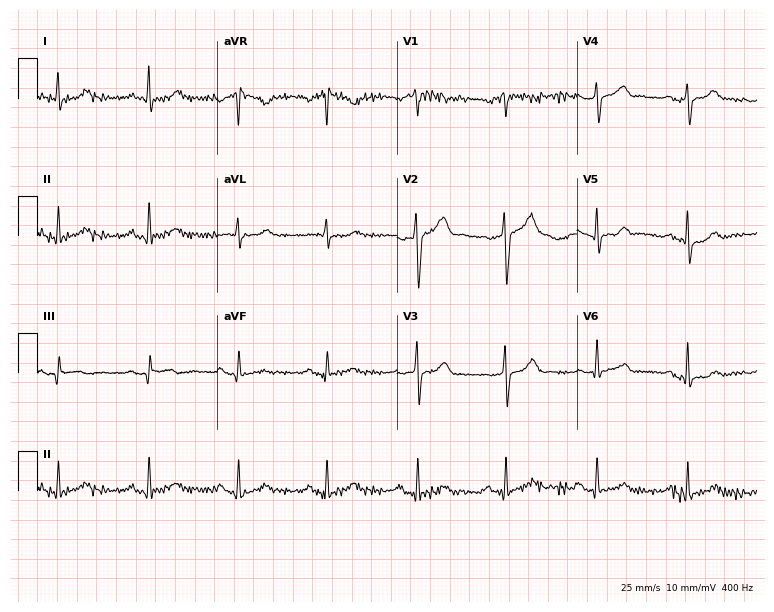
Standard 12-lead ECG recorded from an 85-year-old female. None of these six findings is recorded: first-degree AV block, right bundle branch block, left bundle branch block, sinus bradycardia, atrial fibrillation, sinus tachycardia. Findings outside these six are not listed.